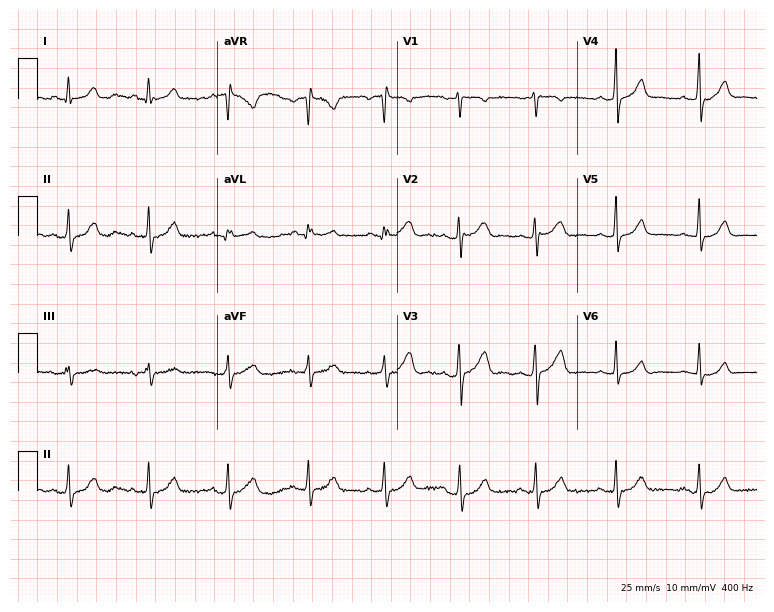
Standard 12-lead ECG recorded from a female patient, 23 years old (7.3-second recording at 400 Hz). None of these six findings is recorded: first-degree AV block, right bundle branch block, left bundle branch block, sinus bradycardia, atrial fibrillation, sinus tachycardia.